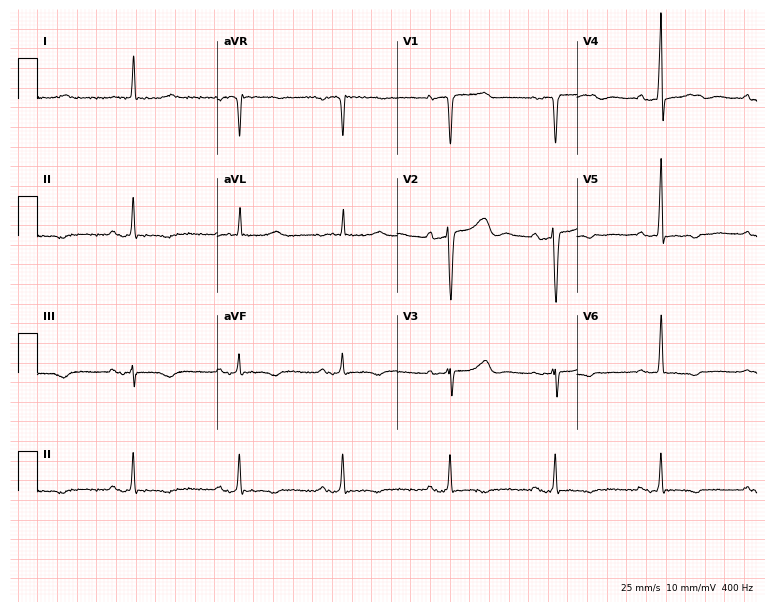
Resting 12-lead electrocardiogram. Patient: a woman, 84 years old. None of these six findings is recorded: first-degree AV block, right bundle branch block (RBBB), left bundle branch block (LBBB), sinus bradycardia, atrial fibrillation (AF), sinus tachycardia. Findings outside these six are not listed.